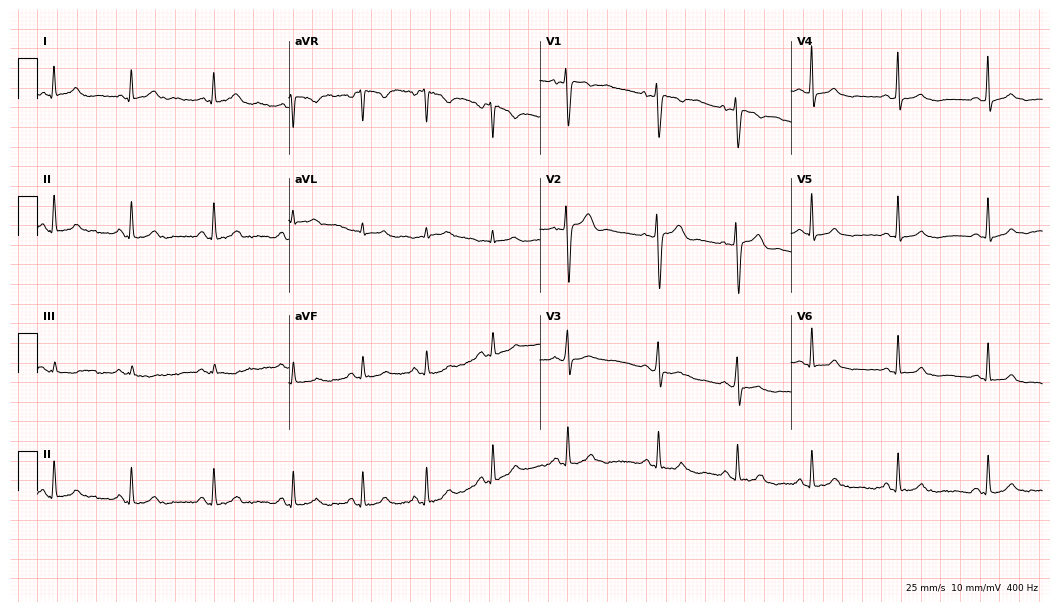
12-lead ECG from a woman, 31 years old. Screened for six findings — first-degree AV block, right bundle branch block (RBBB), left bundle branch block (LBBB), sinus bradycardia, atrial fibrillation (AF), sinus tachycardia — none is recorded. Only these six findings were labelled.